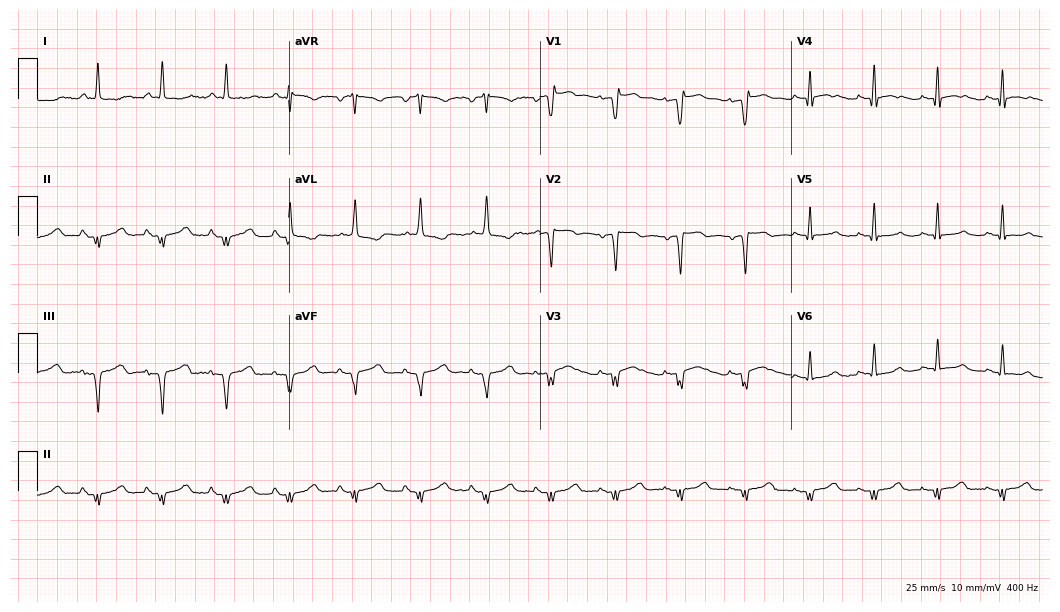
Electrocardiogram, an 81-year-old woman. Of the six screened findings (first-degree AV block, right bundle branch block, left bundle branch block, sinus bradycardia, atrial fibrillation, sinus tachycardia), none is recorded. Only these six findings were labelled.